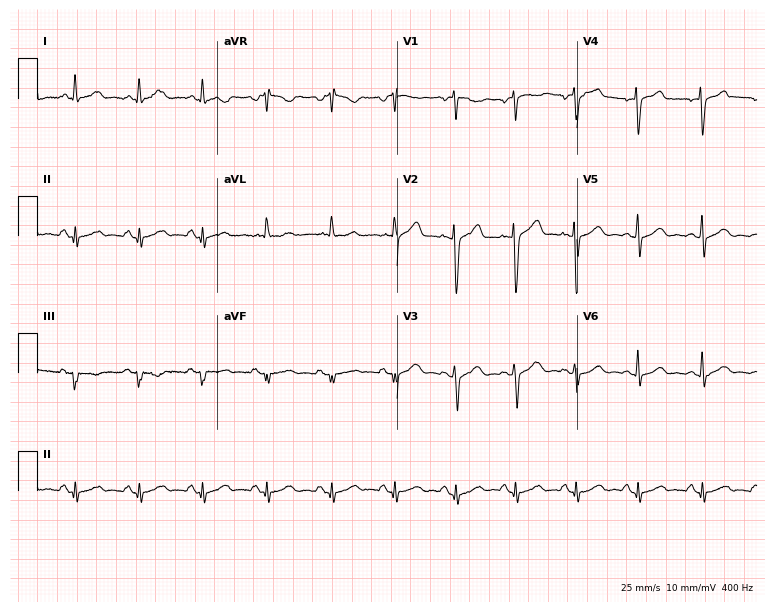
12-lead ECG (7.3-second recording at 400 Hz) from a female patient, 42 years old. Labelled as a normal ECG.